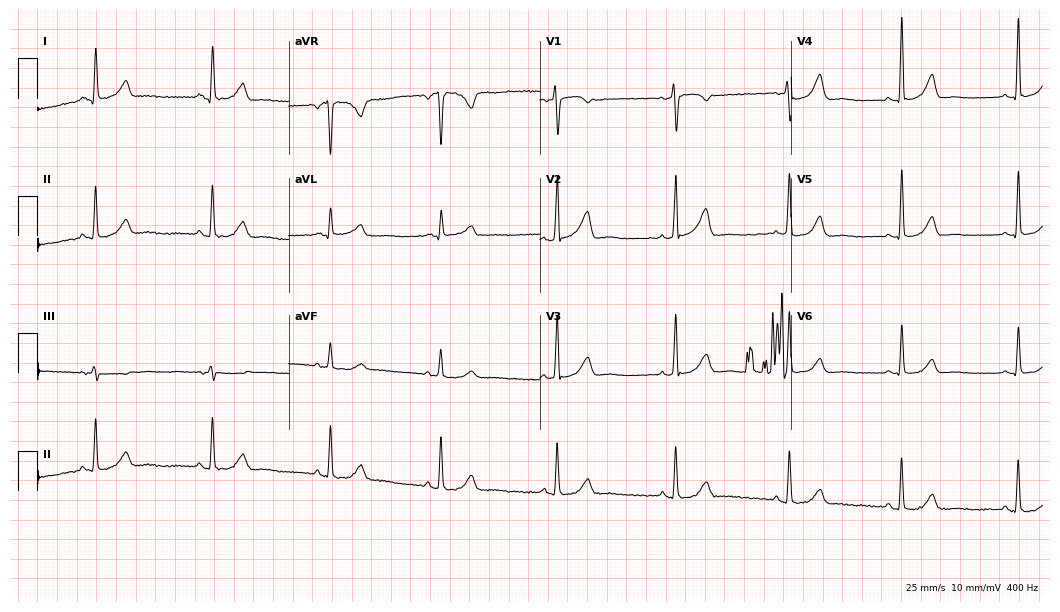
Standard 12-lead ECG recorded from a 55-year-old woman (10.2-second recording at 400 Hz). None of these six findings is recorded: first-degree AV block, right bundle branch block, left bundle branch block, sinus bradycardia, atrial fibrillation, sinus tachycardia. Other findings, if any, are not listed.